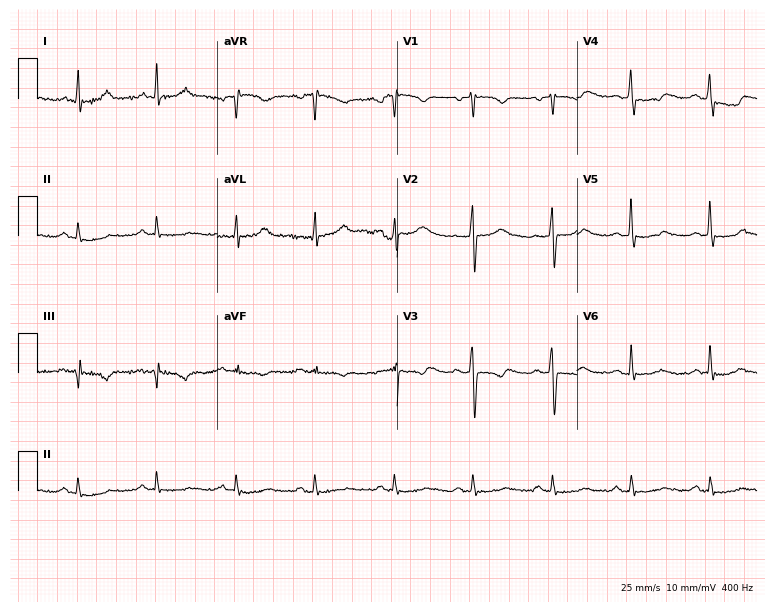
12-lead ECG (7.3-second recording at 400 Hz) from a male patient, 66 years old. Screened for six findings — first-degree AV block, right bundle branch block, left bundle branch block, sinus bradycardia, atrial fibrillation, sinus tachycardia — none is recorded. Other findings, if any, are not listed.